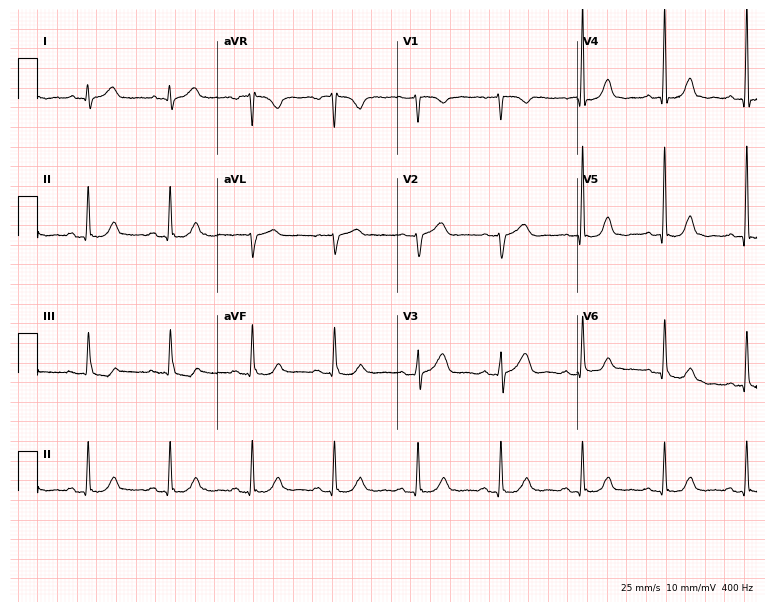
Standard 12-lead ECG recorded from a woman, 69 years old (7.3-second recording at 400 Hz). None of these six findings is recorded: first-degree AV block, right bundle branch block, left bundle branch block, sinus bradycardia, atrial fibrillation, sinus tachycardia. Other findings, if any, are not listed.